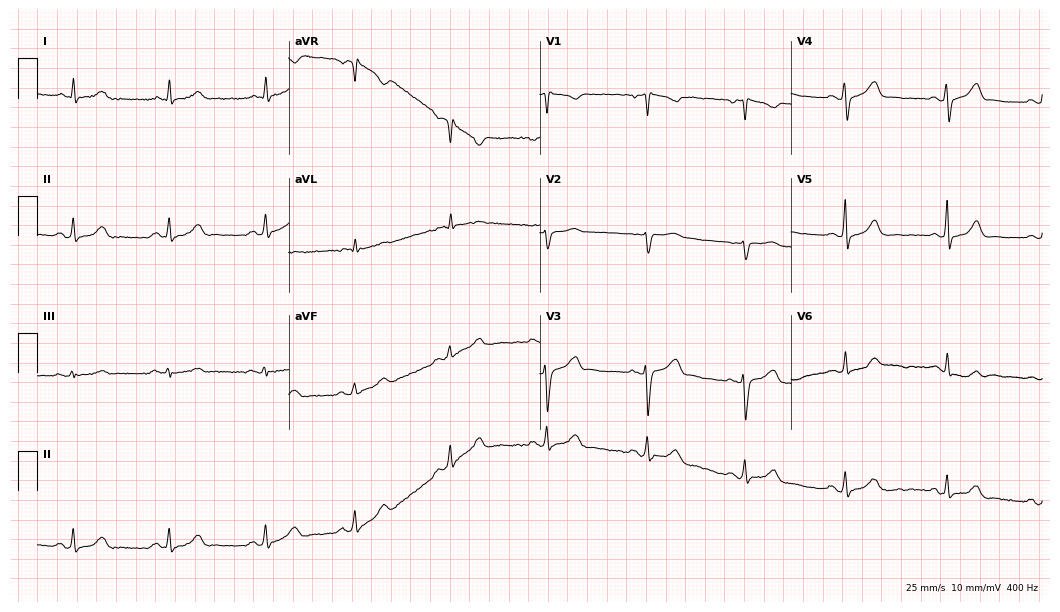
Electrocardiogram, a 41-year-old female patient. Overall reading on record: normal ECG.